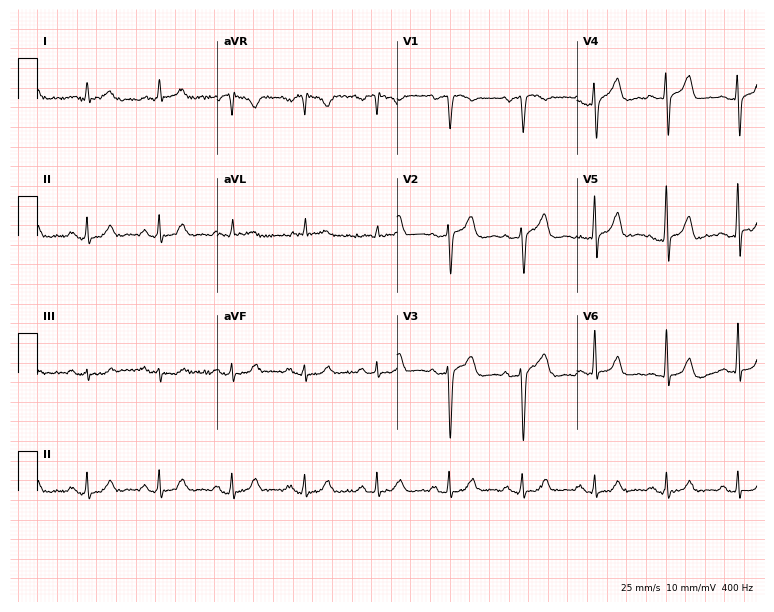
Resting 12-lead electrocardiogram (7.3-second recording at 400 Hz). Patient: a male, 58 years old. Read as a normal ECG.